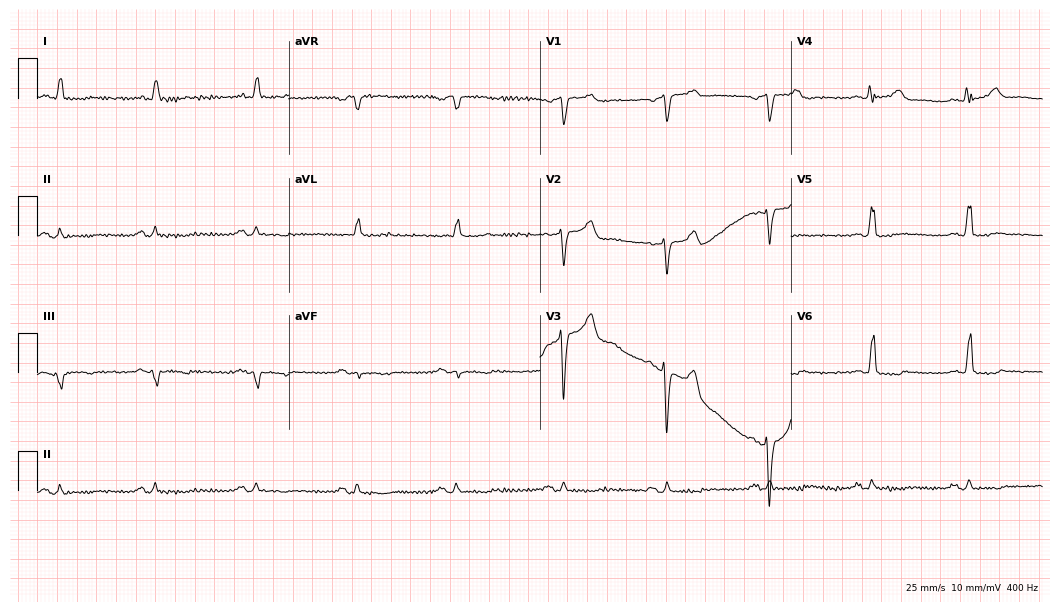
Electrocardiogram (10.2-second recording at 400 Hz), a 65-year-old male patient. Of the six screened findings (first-degree AV block, right bundle branch block, left bundle branch block, sinus bradycardia, atrial fibrillation, sinus tachycardia), none is recorded. Other findings, if any, are not listed.